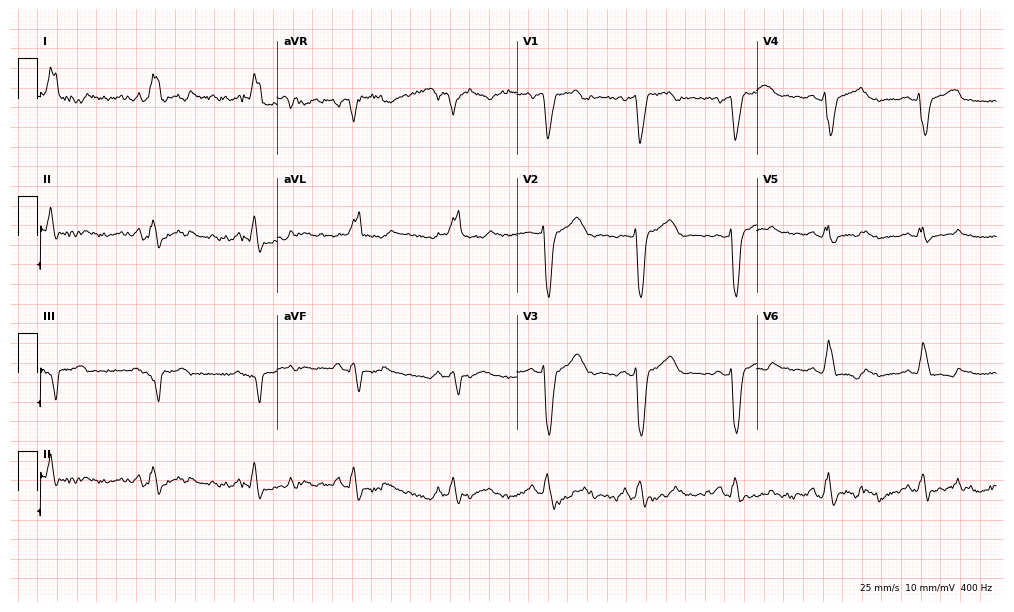
12-lead ECG (9.8-second recording at 400 Hz) from a 41-year-old female. Findings include left bundle branch block.